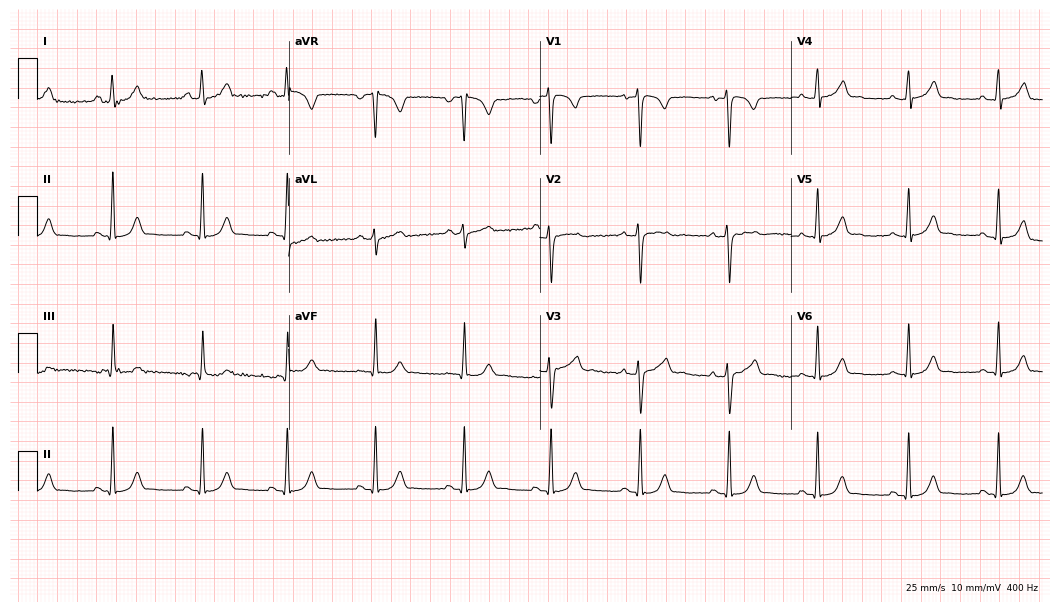
Resting 12-lead electrocardiogram. Patient: a 17-year-old female. Read as a normal ECG.